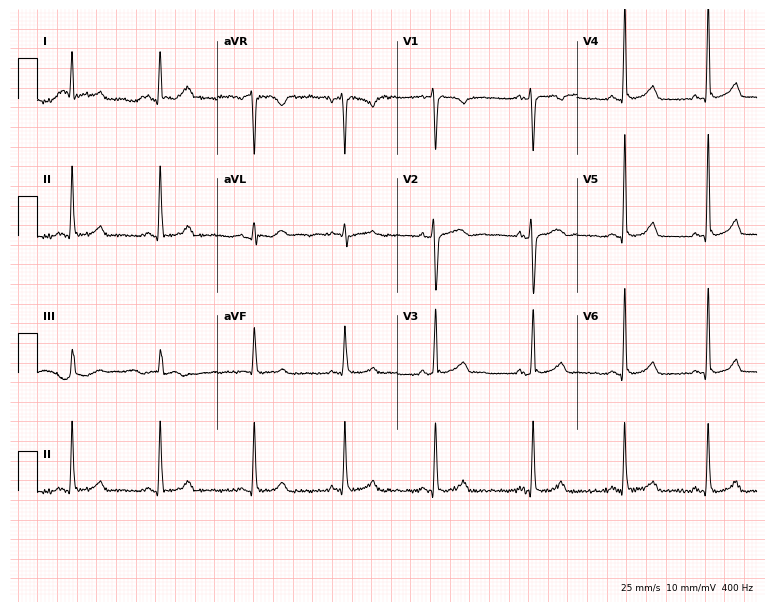
12-lead ECG (7.3-second recording at 400 Hz) from a female patient, 33 years old. Labelled as a normal ECG.